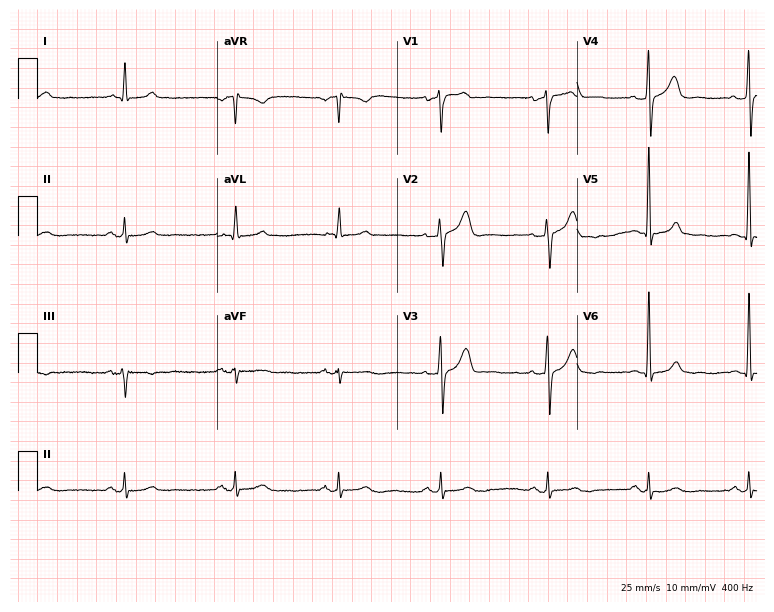
Standard 12-lead ECG recorded from a 61-year-old man (7.3-second recording at 400 Hz). Read as a normal ECG.